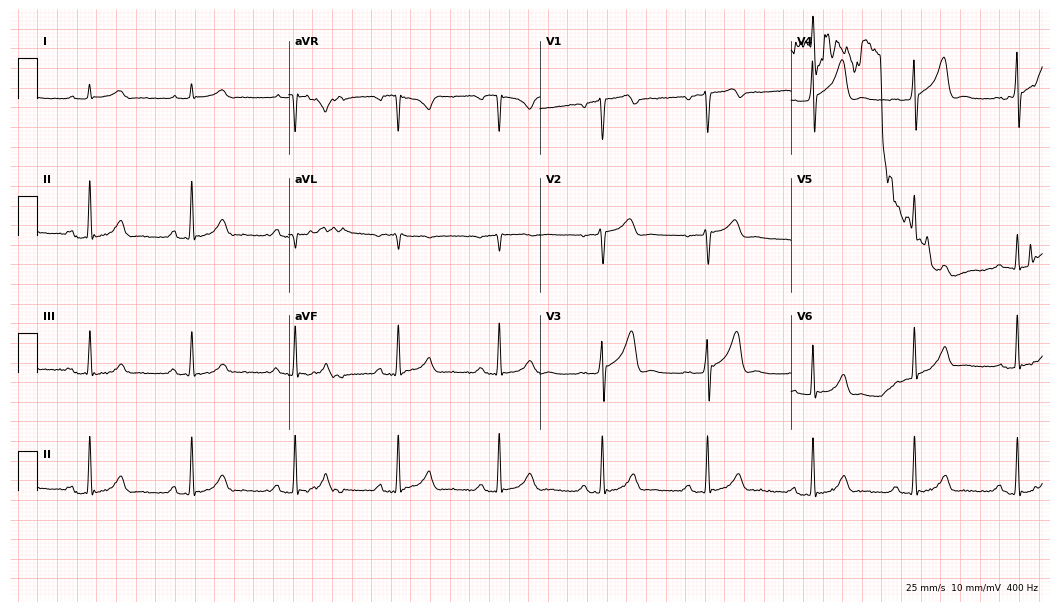
ECG (10.2-second recording at 400 Hz) — a 63-year-old male patient. Screened for six findings — first-degree AV block, right bundle branch block, left bundle branch block, sinus bradycardia, atrial fibrillation, sinus tachycardia — none is recorded. Only these six findings were labelled.